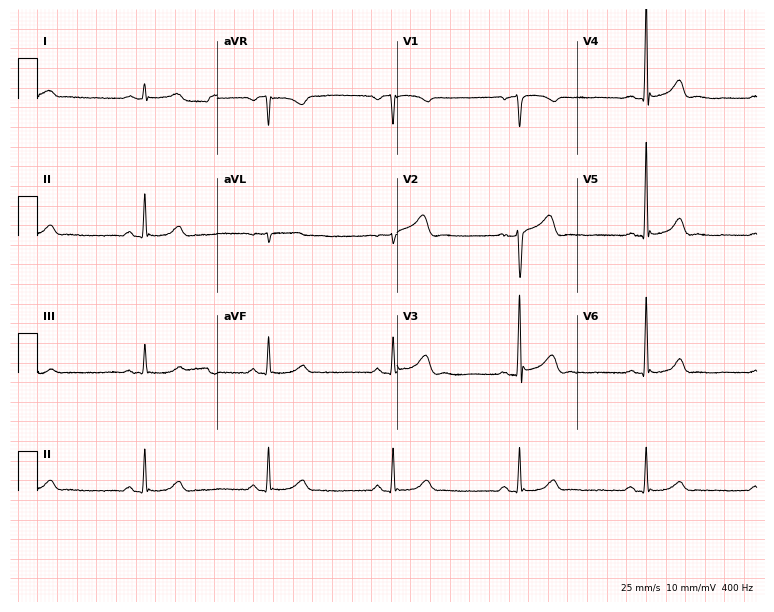
ECG (7.3-second recording at 400 Hz) — a male patient, 64 years old. Findings include sinus bradycardia (a sinus rate of 50 beats per minute or less).